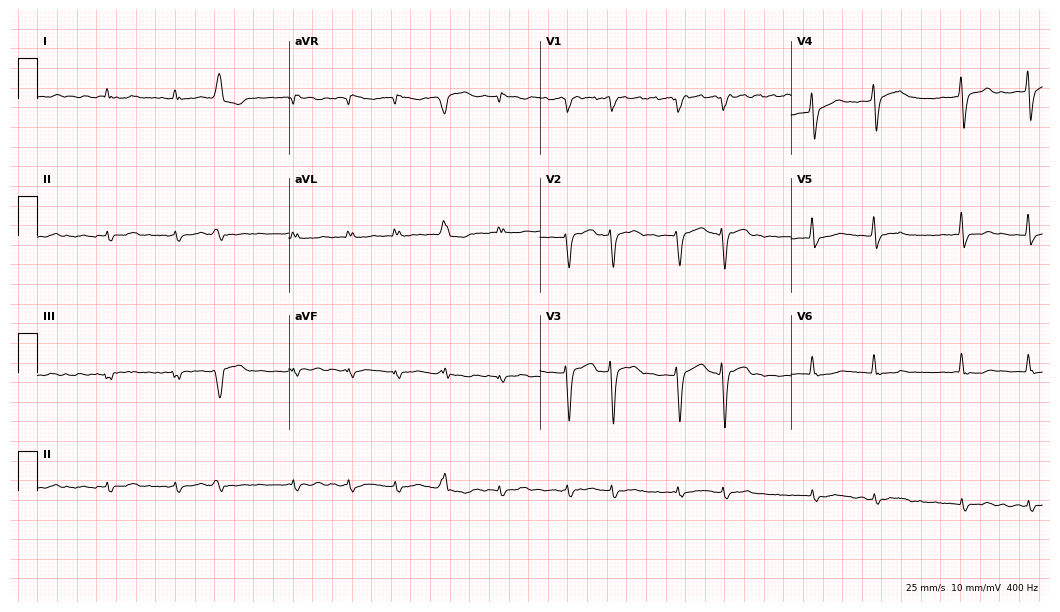
ECG — a man, 67 years old. Findings include atrial fibrillation (AF).